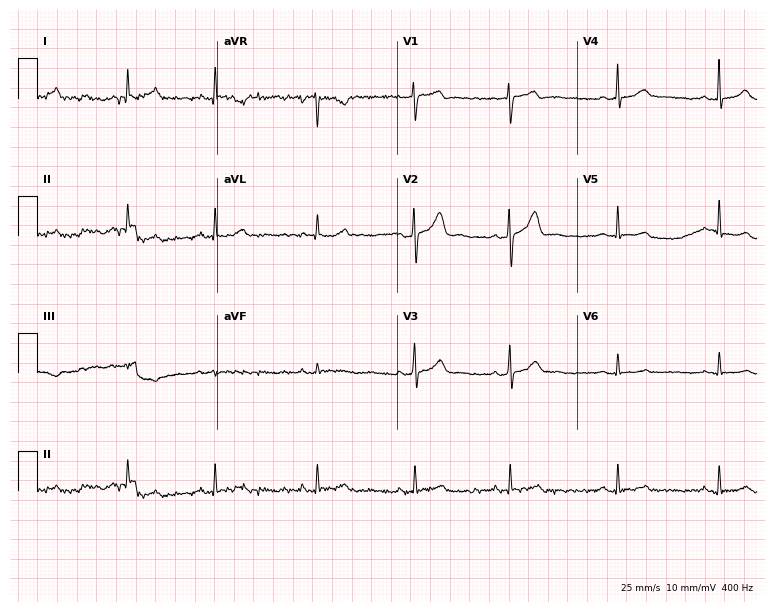
12-lead ECG from a female patient, 34 years old. Labelled as a normal ECG.